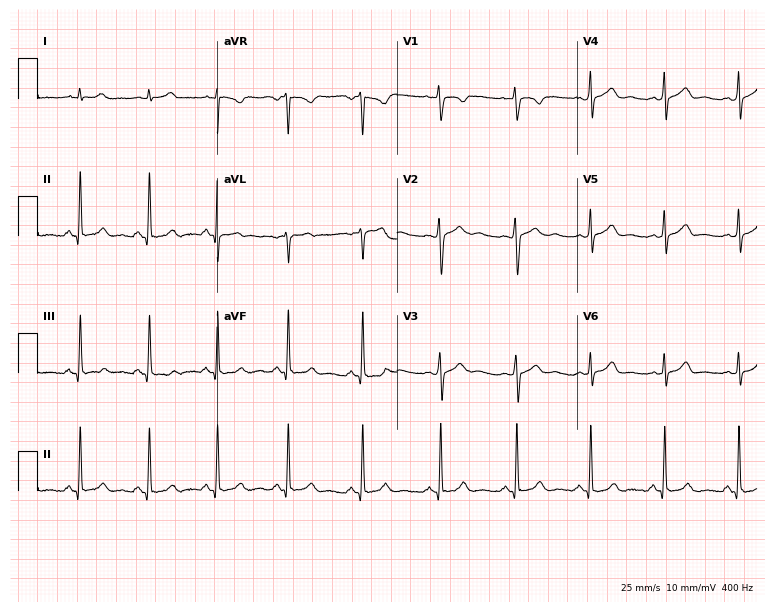
Standard 12-lead ECG recorded from a 34-year-old female. None of these six findings is recorded: first-degree AV block, right bundle branch block, left bundle branch block, sinus bradycardia, atrial fibrillation, sinus tachycardia.